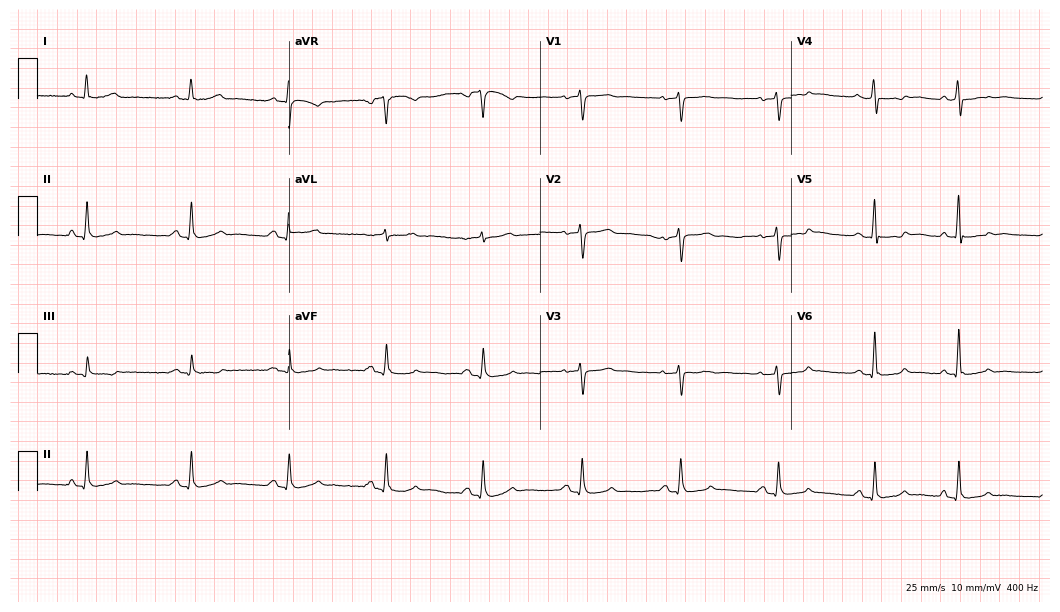
Resting 12-lead electrocardiogram. Patient: a 59-year-old female. None of these six findings is recorded: first-degree AV block, right bundle branch block (RBBB), left bundle branch block (LBBB), sinus bradycardia, atrial fibrillation (AF), sinus tachycardia.